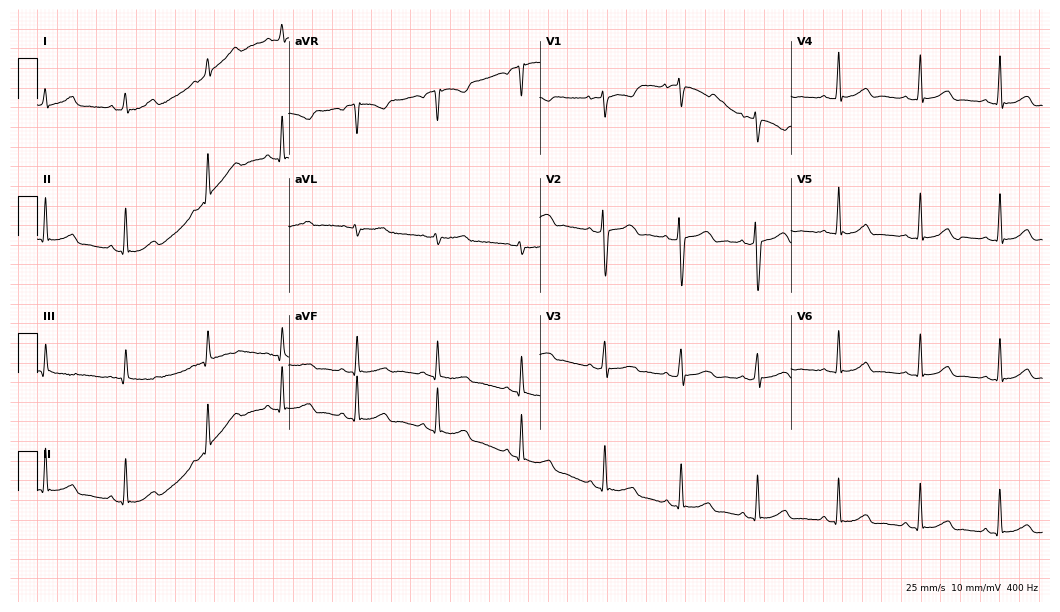
Electrocardiogram, a woman, 30 years old. Of the six screened findings (first-degree AV block, right bundle branch block, left bundle branch block, sinus bradycardia, atrial fibrillation, sinus tachycardia), none is recorded. Other findings, if any, are not listed.